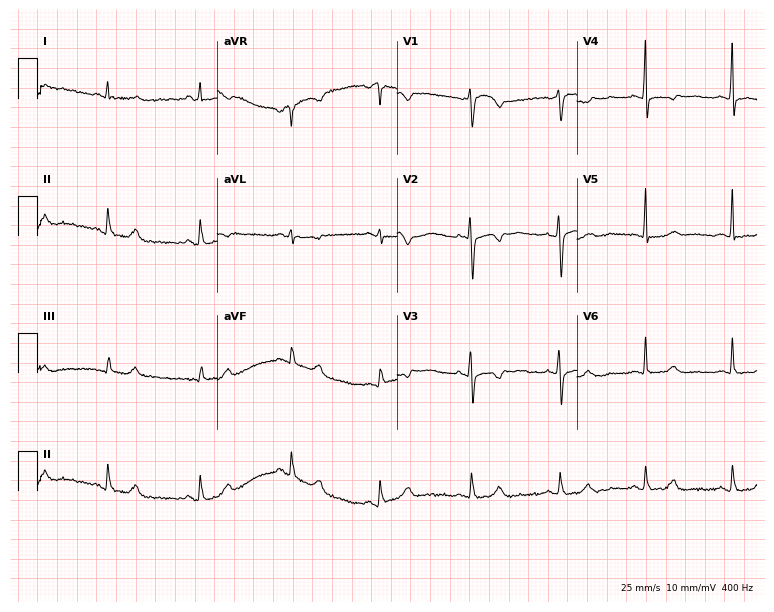
ECG — a 47-year-old female. Screened for six findings — first-degree AV block, right bundle branch block, left bundle branch block, sinus bradycardia, atrial fibrillation, sinus tachycardia — none is recorded. Findings outside these six are not listed.